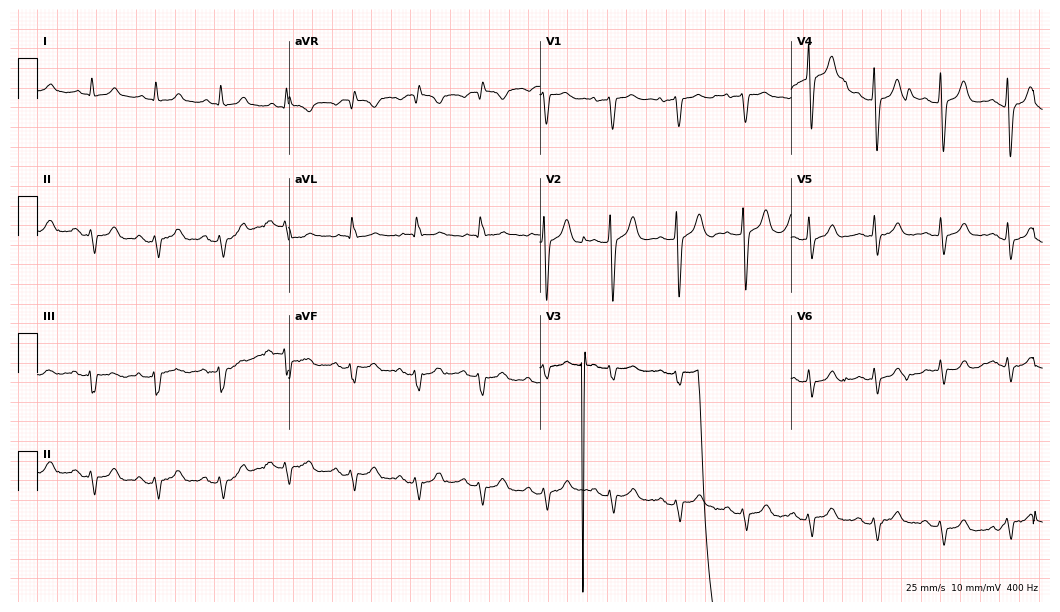
Electrocardiogram (10.2-second recording at 400 Hz), a man, 74 years old. Of the six screened findings (first-degree AV block, right bundle branch block (RBBB), left bundle branch block (LBBB), sinus bradycardia, atrial fibrillation (AF), sinus tachycardia), none is recorded. Other findings, if any, are not listed.